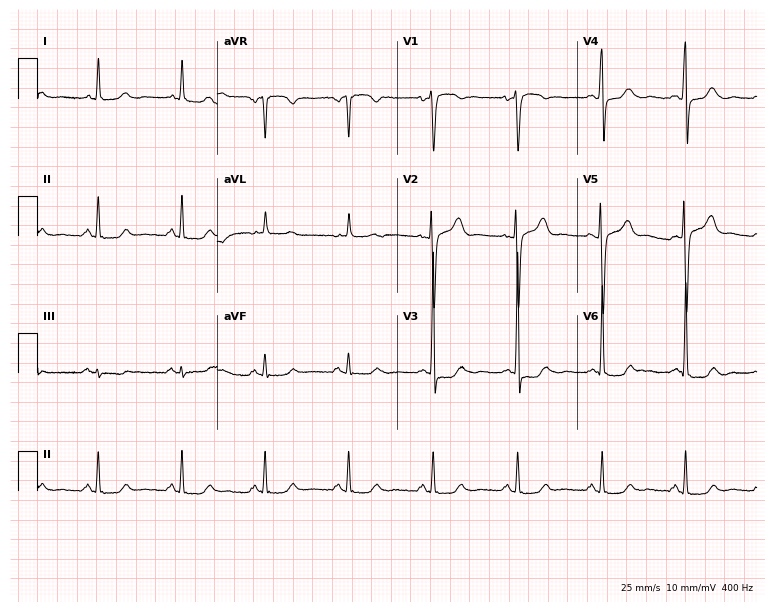
Resting 12-lead electrocardiogram (7.3-second recording at 400 Hz). Patient: a 56-year-old female. None of these six findings is recorded: first-degree AV block, right bundle branch block (RBBB), left bundle branch block (LBBB), sinus bradycardia, atrial fibrillation (AF), sinus tachycardia.